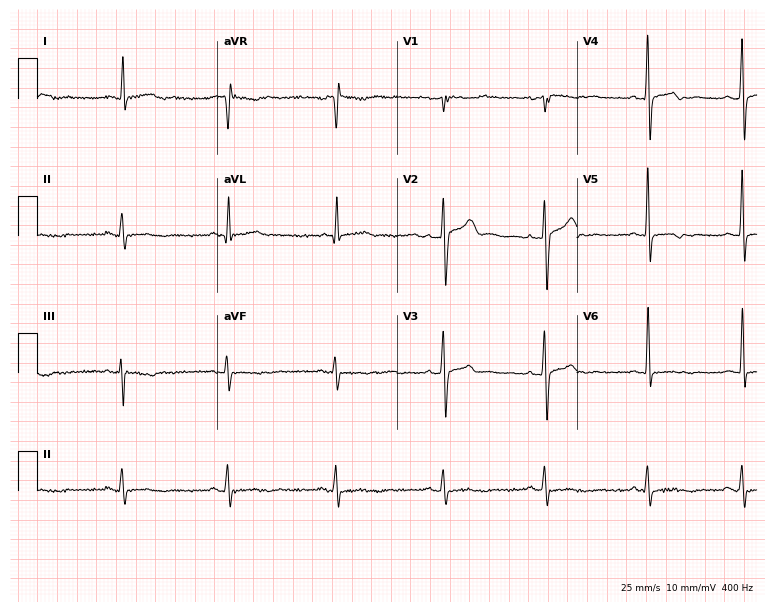
12-lead ECG from a male patient, 34 years old (7.3-second recording at 400 Hz). Recorded interpretation: within normal limits.